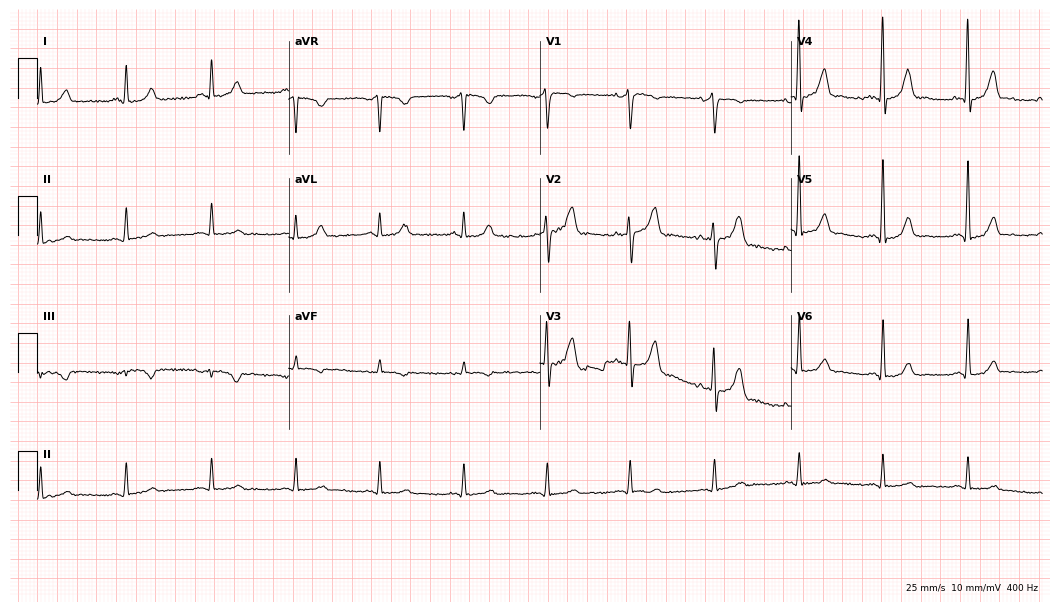
Electrocardiogram (10.2-second recording at 400 Hz), a female, 55 years old. Of the six screened findings (first-degree AV block, right bundle branch block, left bundle branch block, sinus bradycardia, atrial fibrillation, sinus tachycardia), none is recorded. Only these six findings were labelled.